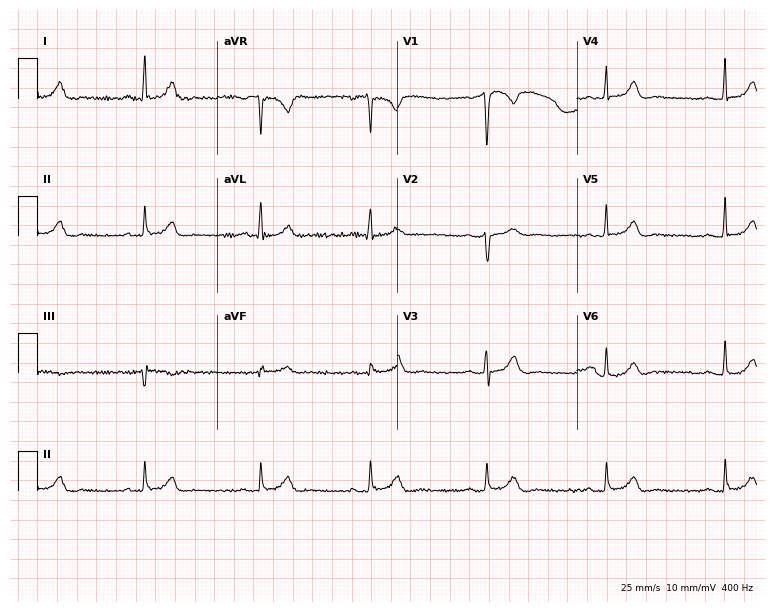
Standard 12-lead ECG recorded from a female patient, 55 years old. None of these six findings is recorded: first-degree AV block, right bundle branch block, left bundle branch block, sinus bradycardia, atrial fibrillation, sinus tachycardia. Only these six findings were labelled.